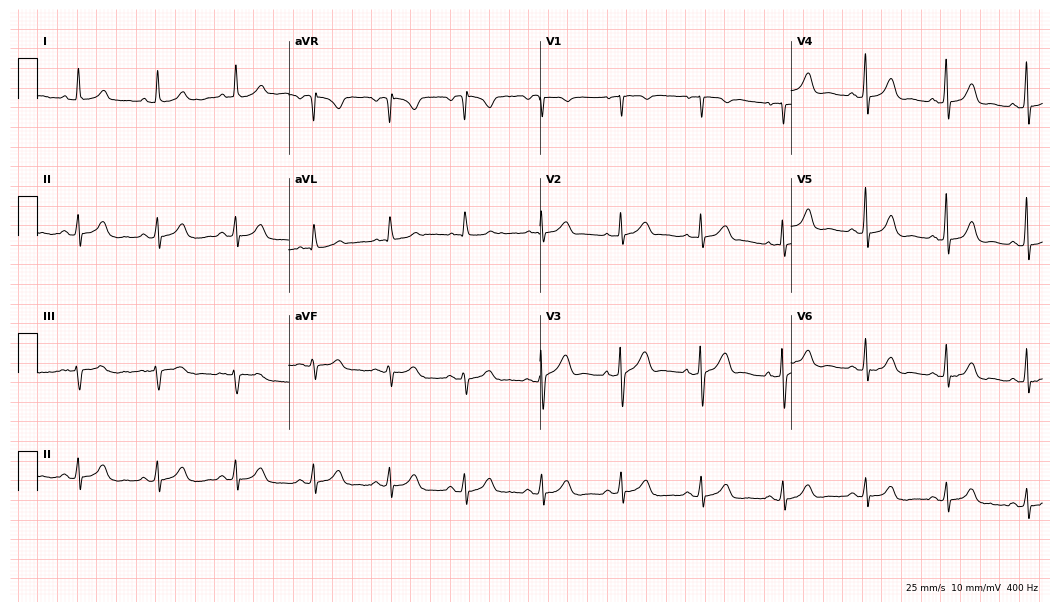
Standard 12-lead ECG recorded from a female patient, 65 years old (10.2-second recording at 400 Hz). Read as a normal ECG.